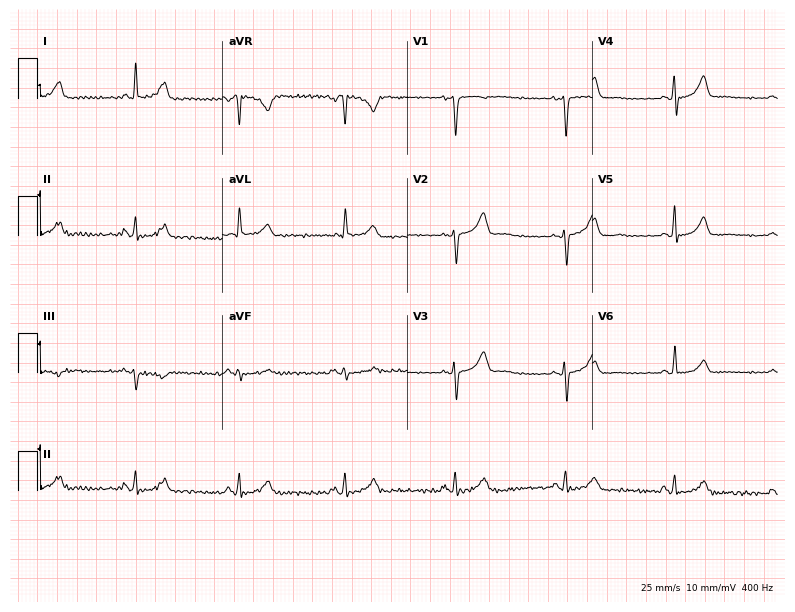
Resting 12-lead electrocardiogram (7.5-second recording at 400 Hz). Patient: a 46-year-old woman. Read as a normal ECG.